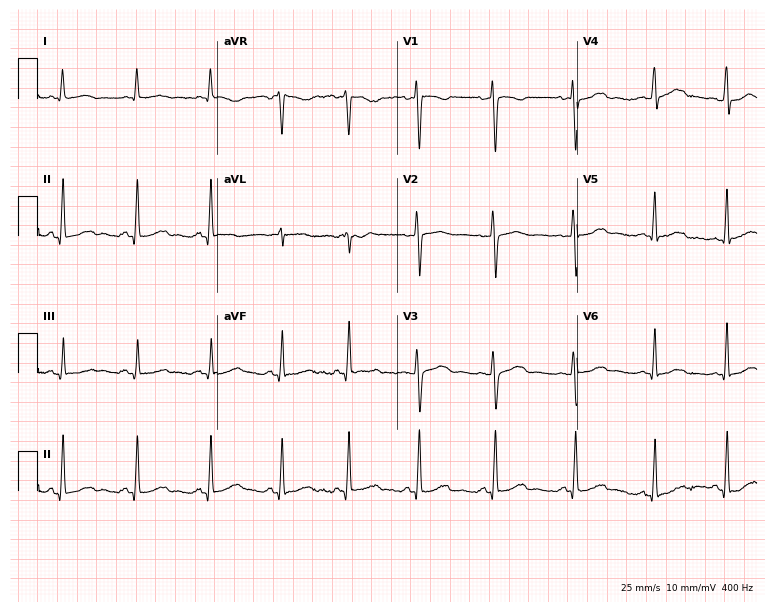
12-lead ECG from a 42-year-old female patient. Recorded interpretation: within normal limits.